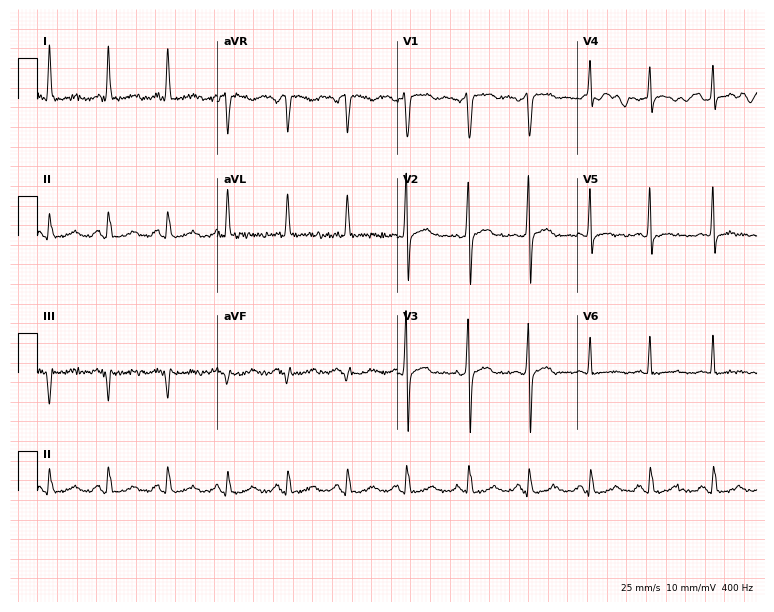
12-lead ECG (7.3-second recording at 400 Hz) from a male, 44 years old. Screened for six findings — first-degree AV block, right bundle branch block, left bundle branch block, sinus bradycardia, atrial fibrillation, sinus tachycardia — none is recorded.